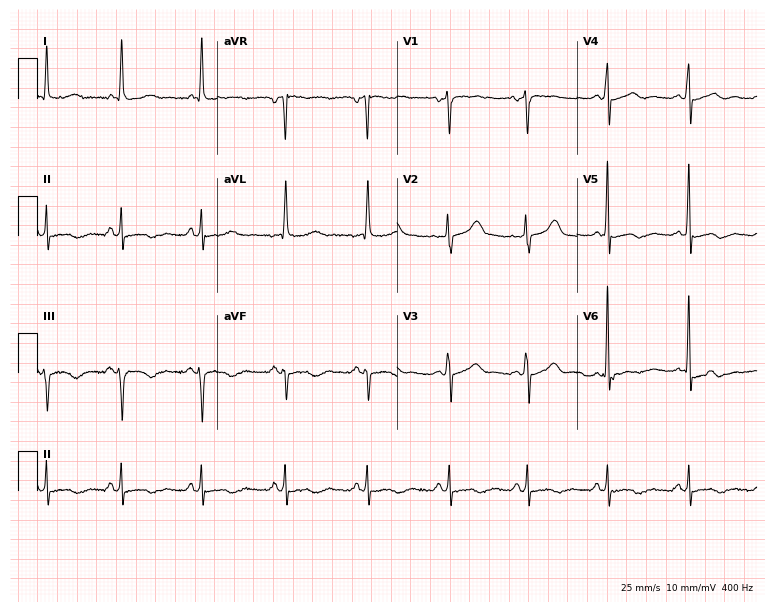
Standard 12-lead ECG recorded from a 52-year-old woman. None of these six findings is recorded: first-degree AV block, right bundle branch block, left bundle branch block, sinus bradycardia, atrial fibrillation, sinus tachycardia.